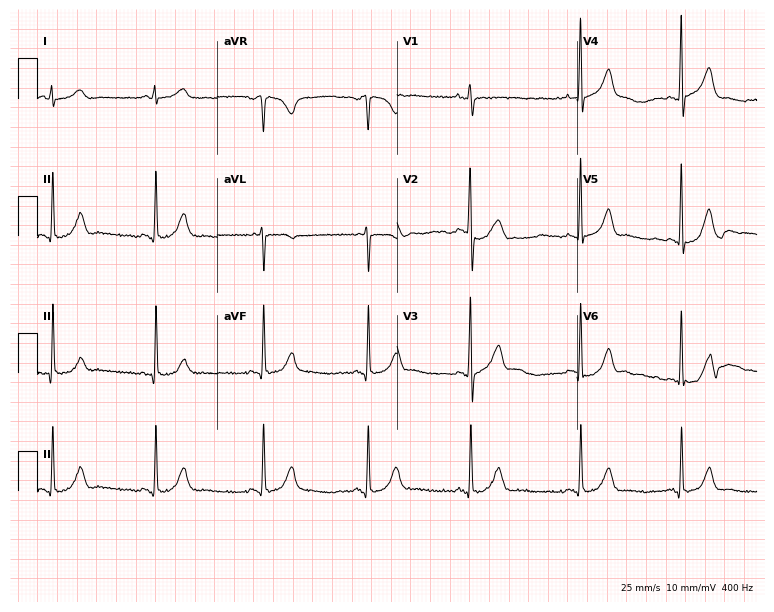
Standard 12-lead ECG recorded from a 27-year-old male patient. Read as a normal ECG.